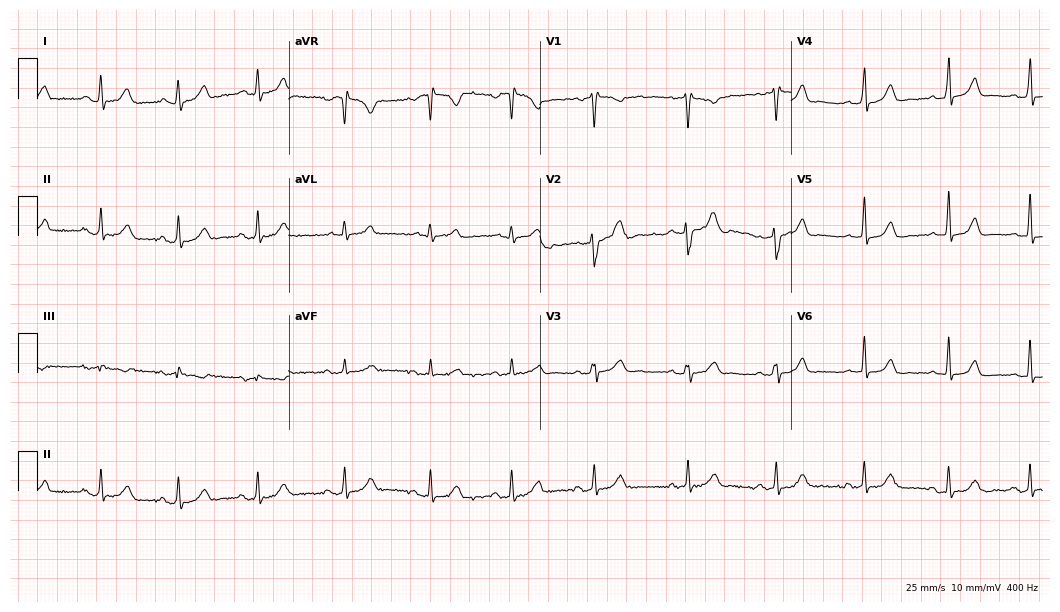
ECG (10.2-second recording at 400 Hz) — a 37-year-old woman. Labelled as a normal ECG.